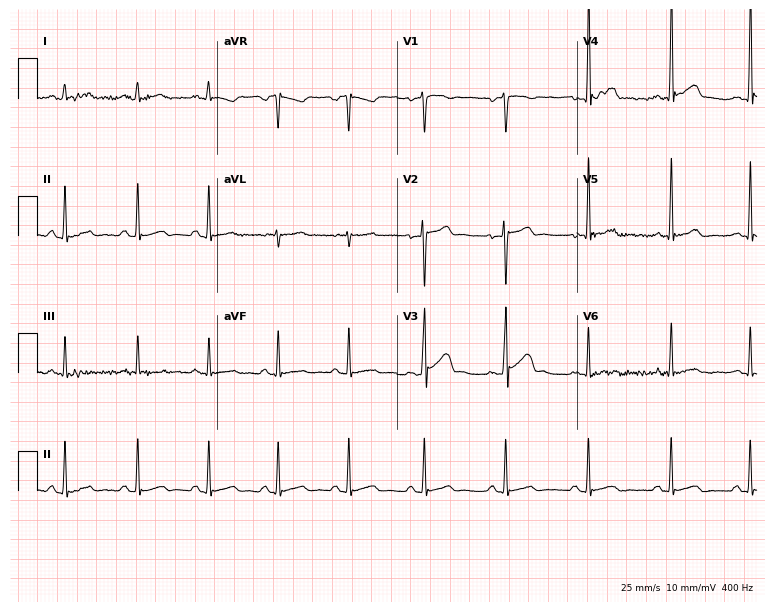
Resting 12-lead electrocardiogram. Patient: a man, 19 years old. Read as a normal ECG.